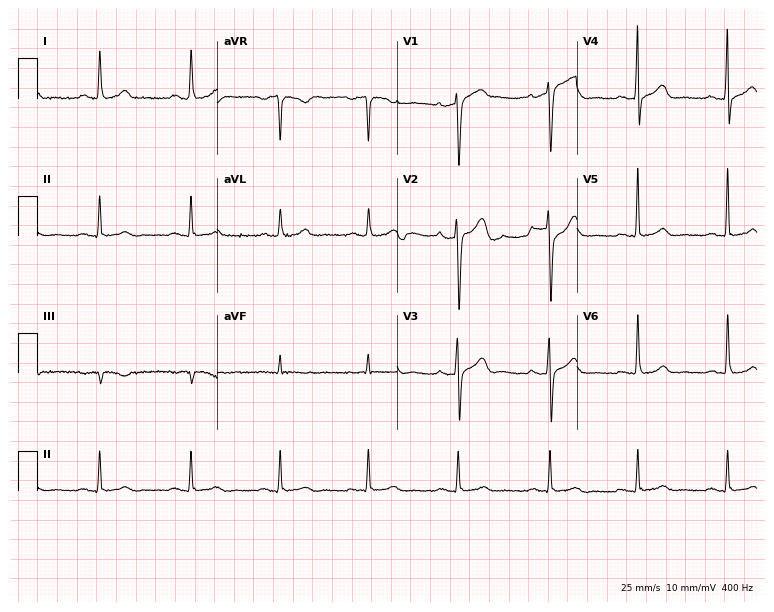
Standard 12-lead ECG recorded from a 40-year-old man (7.3-second recording at 400 Hz). None of these six findings is recorded: first-degree AV block, right bundle branch block (RBBB), left bundle branch block (LBBB), sinus bradycardia, atrial fibrillation (AF), sinus tachycardia.